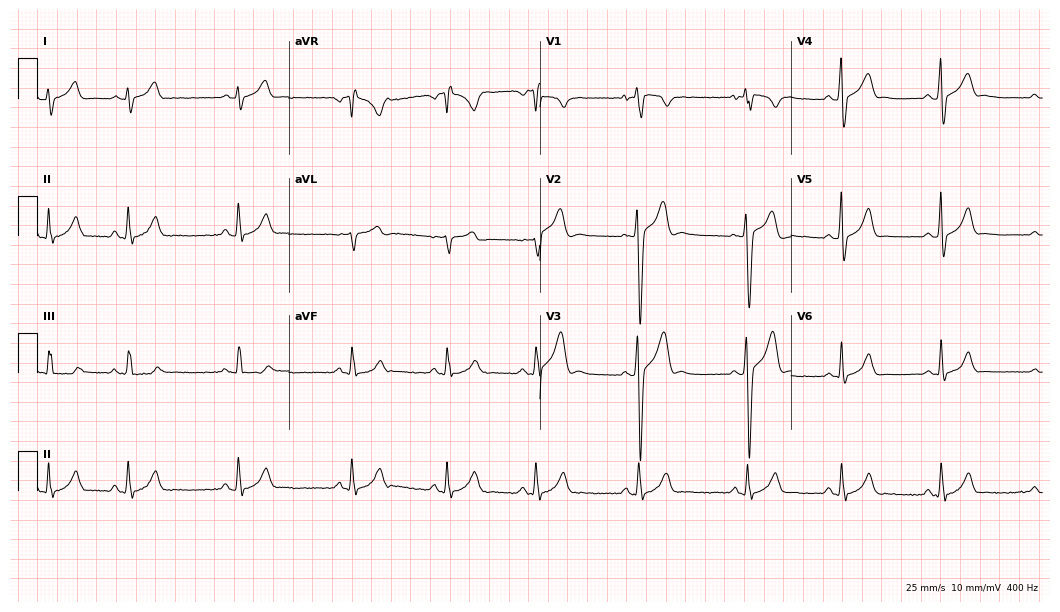
Electrocardiogram (10.2-second recording at 400 Hz), a 17-year-old man. Overall reading on record: normal ECG.